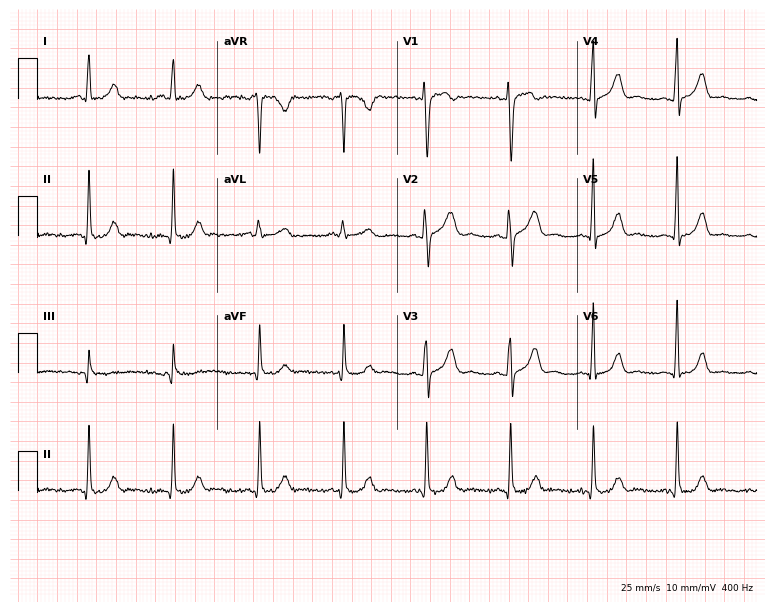
ECG — a female, 40 years old. Screened for six findings — first-degree AV block, right bundle branch block (RBBB), left bundle branch block (LBBB), sinus bradycardia, atrial fibrillation (AF), sinus tachycardia — none is recorded.